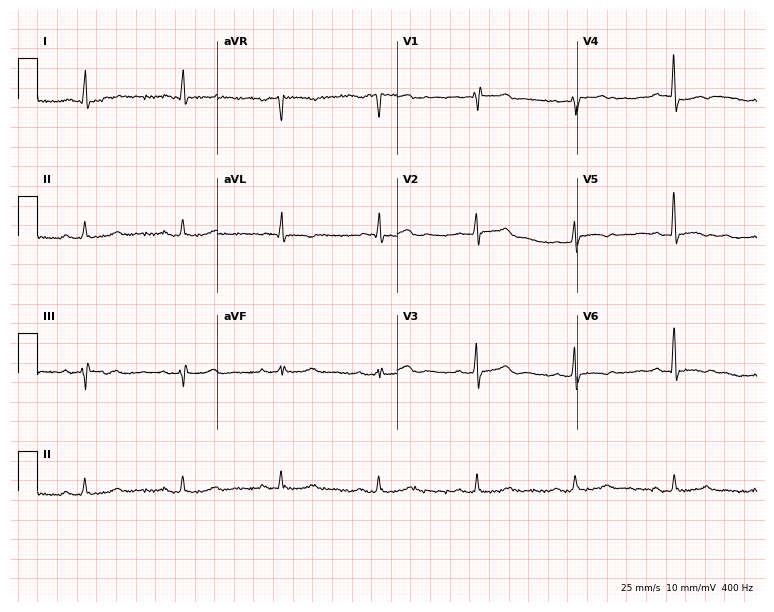
ECG (7.3-second recording at 400 Hz) — a male, 73 years old. Screened for six findings — first-degree AV block, right bundle branch block, left bundle branch block, sinus bradycardia, atrial fibrillation, sinus tachycardia — none is recorded.